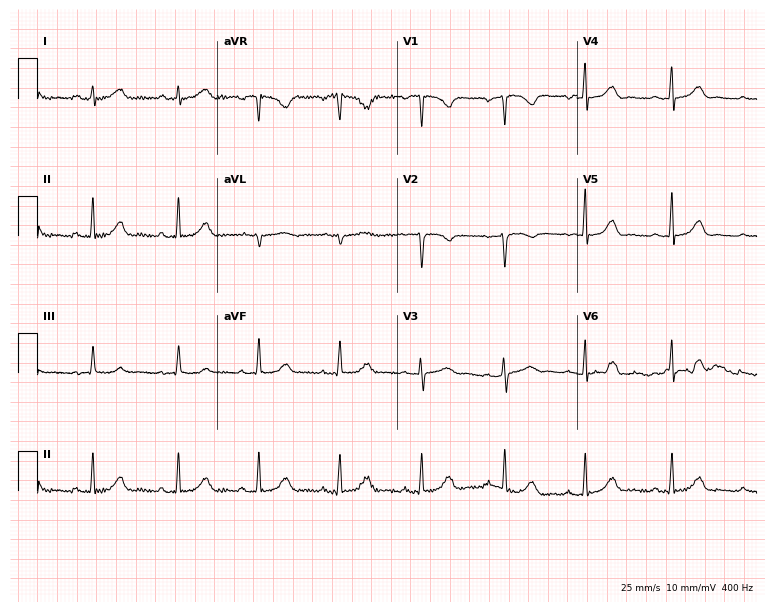
Standard 12-lead ECG recorded from a 34-year-old female patient (7.3-second recording at 400 Hz). None of these six findings is recorded: first-degree AV block, right bundle branch block, left bundle branch block, sinus bradycardia, atrial fibrillation, sinus tachycardia.